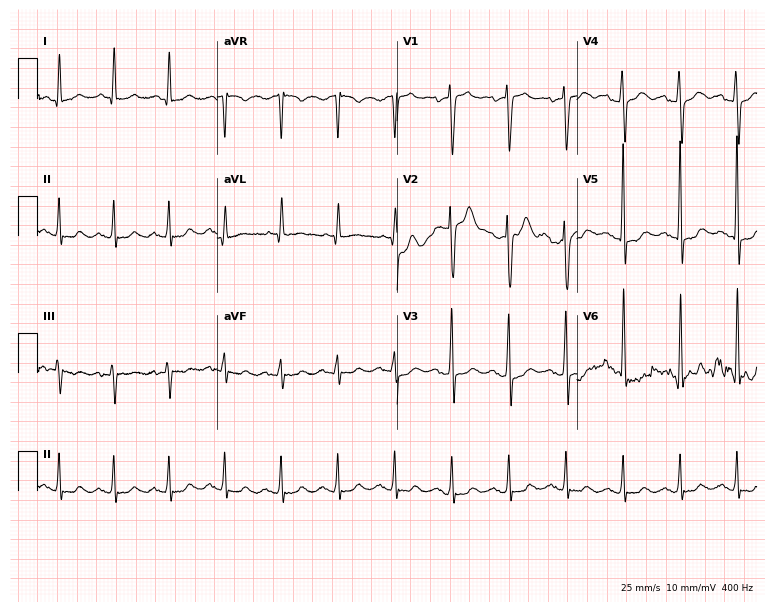
Resting 12-lead electrocardiogram. Patient: a male, 49 years old. The tracing shows sinus tachycardia (a sinus rate of 100 beats per minute or more).